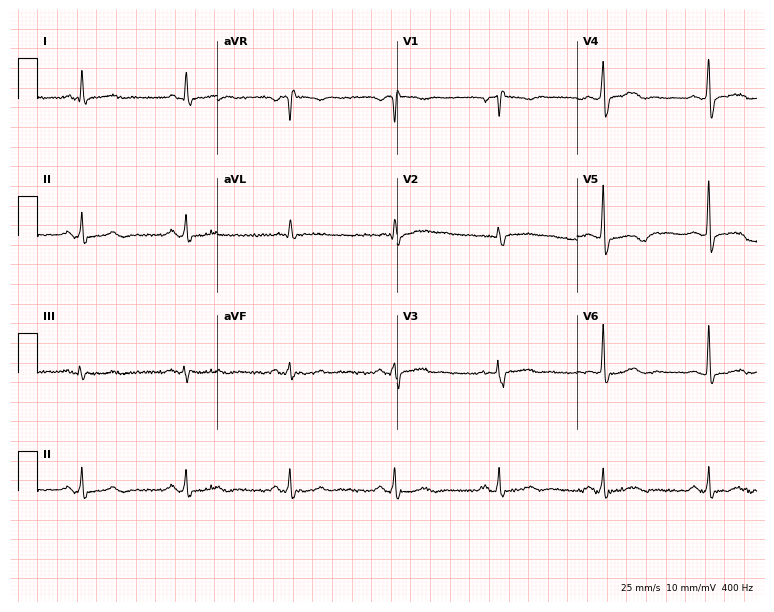
12-lead ECG (7.3-second recording at 400 Hz) from a 56-year-old male patient. Screened for six findings — first-degree AV block, right bundle branch block, left bundle branch block, sinus bradycardia, atrial fibrillation, sinus tachycardia — none is recorded. Only these six findings were labelled.